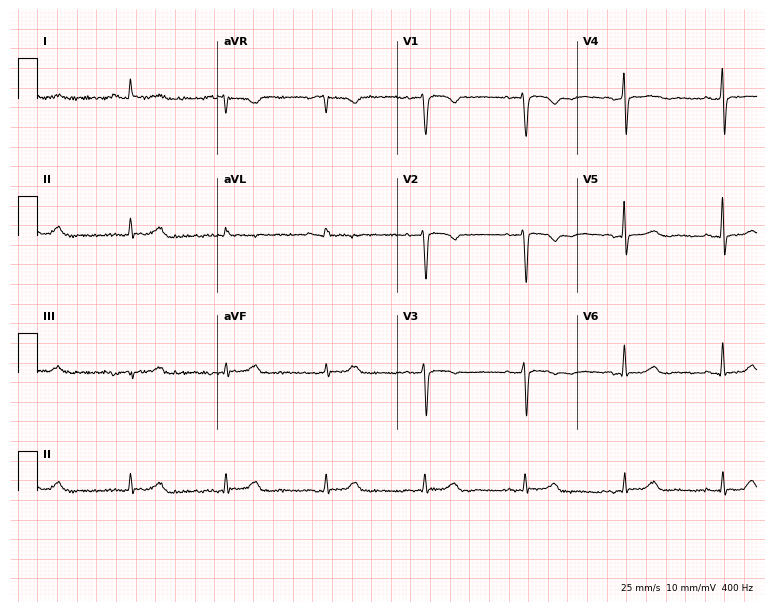
12-lead ECG from a 58-year-old female patient. Screened for six findings — first-degree AV block, right bundle branch block, left bundle branch block, sinus bradycardia, atrial fibrillation, sinus tachycardia — none is recorded.